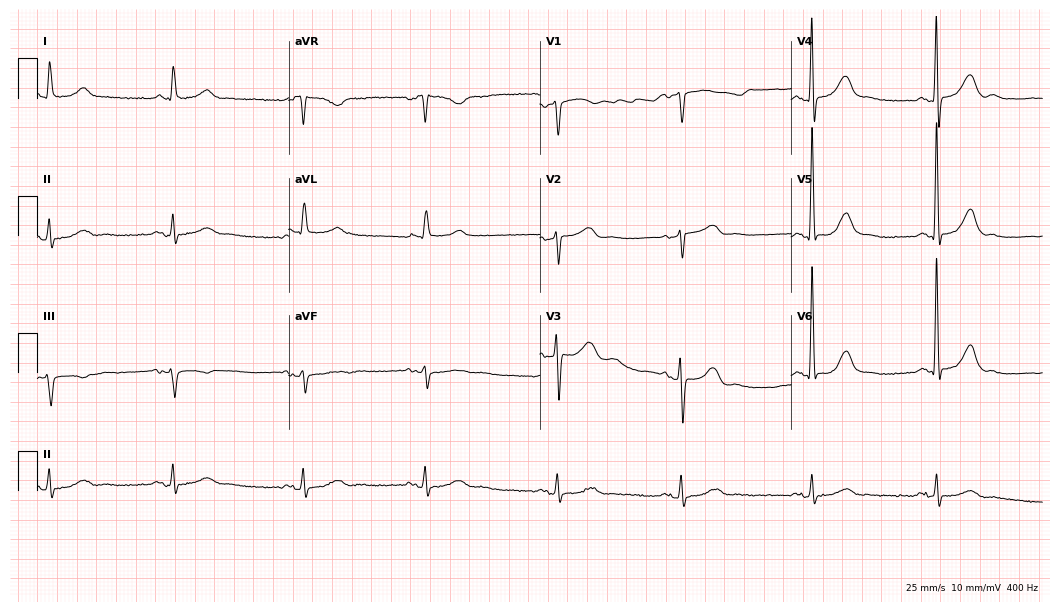
Standard 12-lead ECG recorded from a male patient, 70 years old. The tracing shows sinus bradycardia (a sinus rate of 50 beats per minute or less).